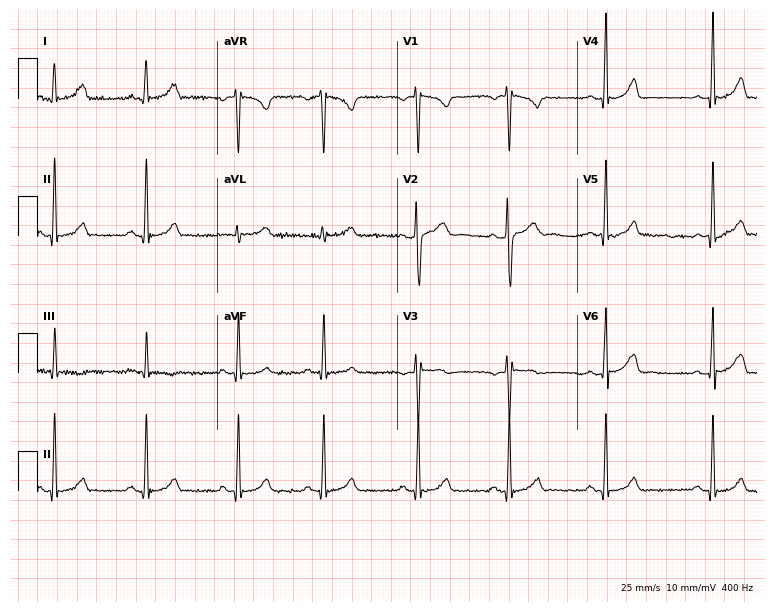
Electrocardiogram, a female, 23 years old. Overall reading on record: normal ECG.